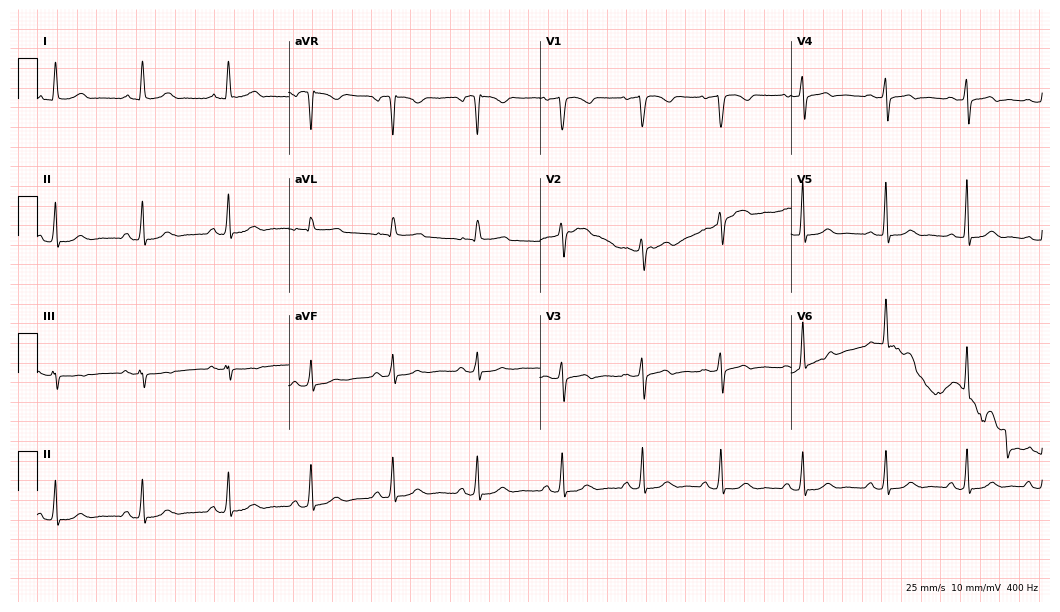
Resting 12-lead electrocardiogram. Patient: a 59-year-old female. None of these six findings is recorded: first-degree AV block, right bundle branch block, left bundle branch block, sinus bradycardia, atrial fibrillation, sinus tachycardia.